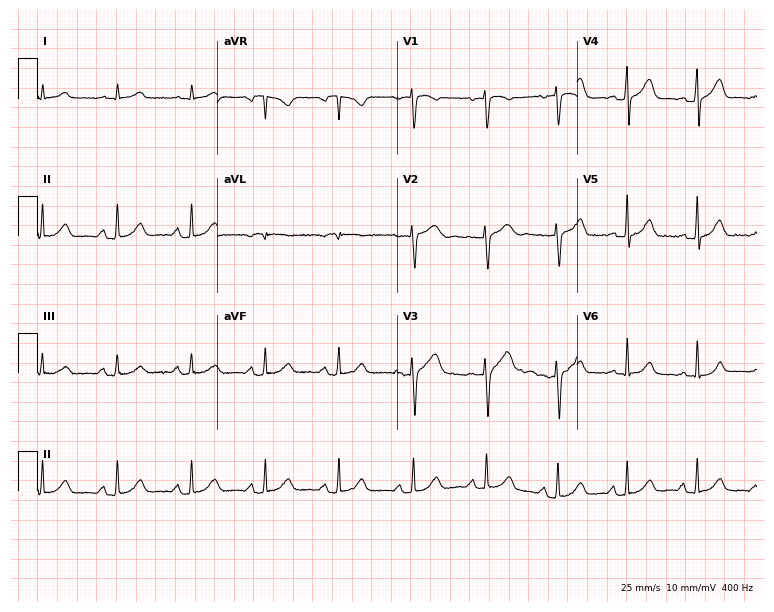
Resting 12-lead electrocardiogram. Patient: a 46-year-old male. Read as a normal ECG.